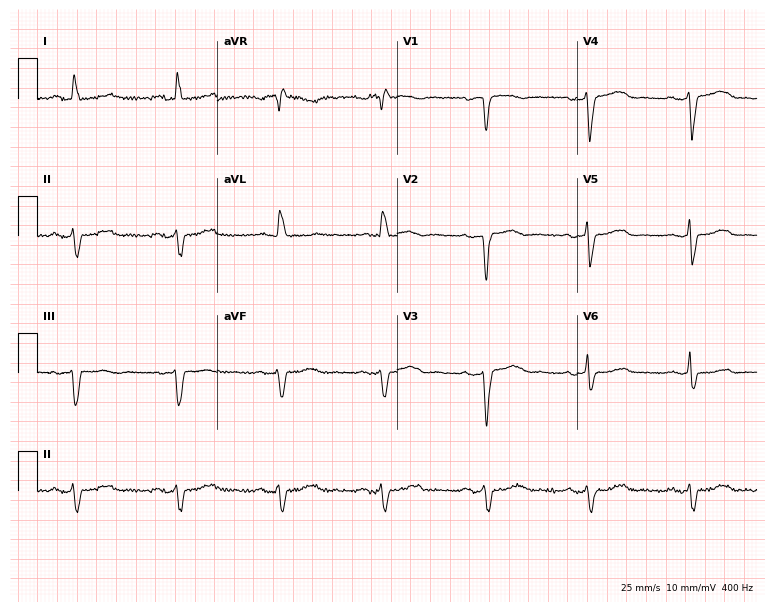
Electrocardiogram, a 79-year-old female. Of the six screened findings (first-degree AV block, right bundle branch block, left bundle branch block, sinus bradycardia, atrial fibrillation, sinus tachycardia), none is recorded.